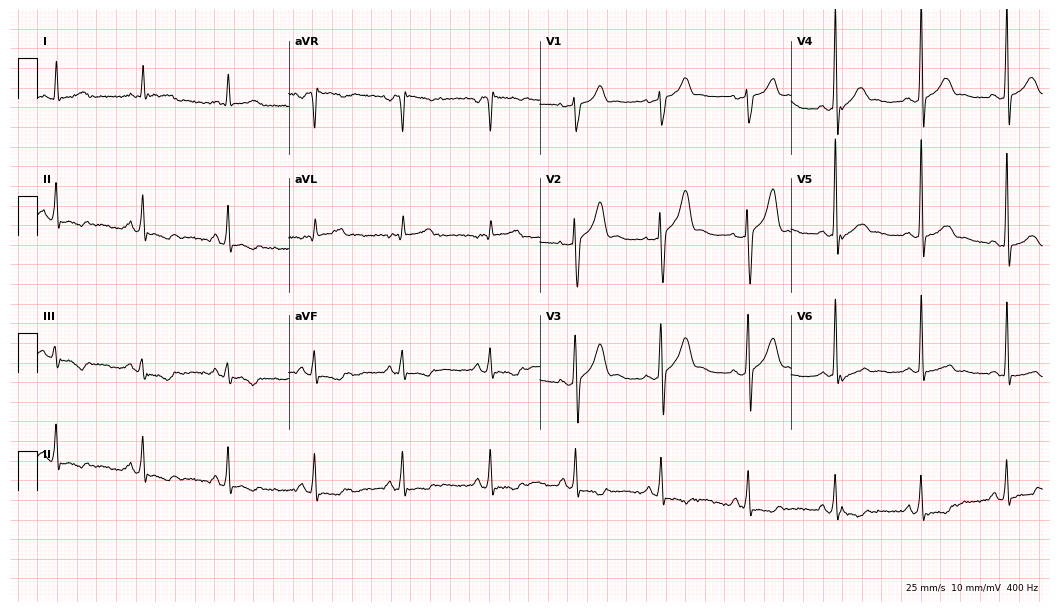
Electrocardiogram (10.2-second recording at 400 Hz), a 34-year-old male. Of the six screened findings (first-degree AV block, right bundle branch block, left bundle branch block, sinus bradycardia, atrial fibrillation, sinus tachycardia), none is recorded.